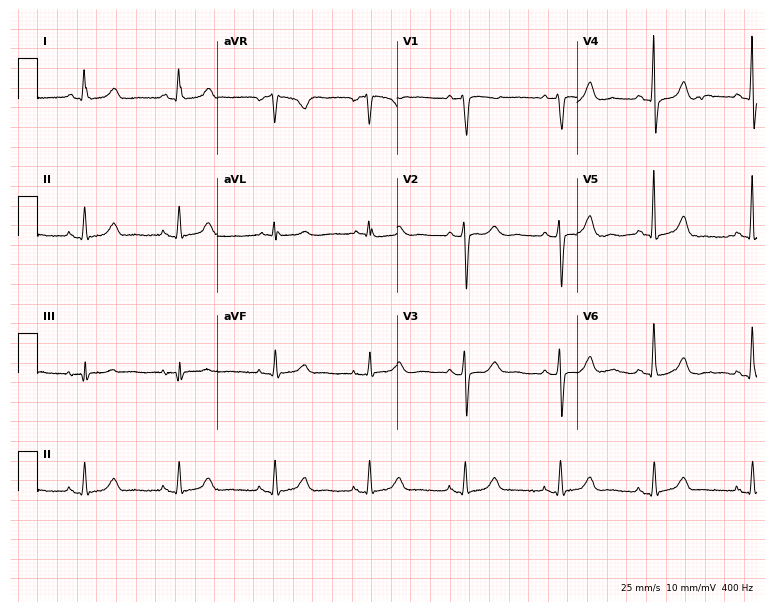
Resting 12-lead electrocardiogram (7.3-second recording at 400 Hz). Patient: an 80-year-old female. Read as a normal ECG.